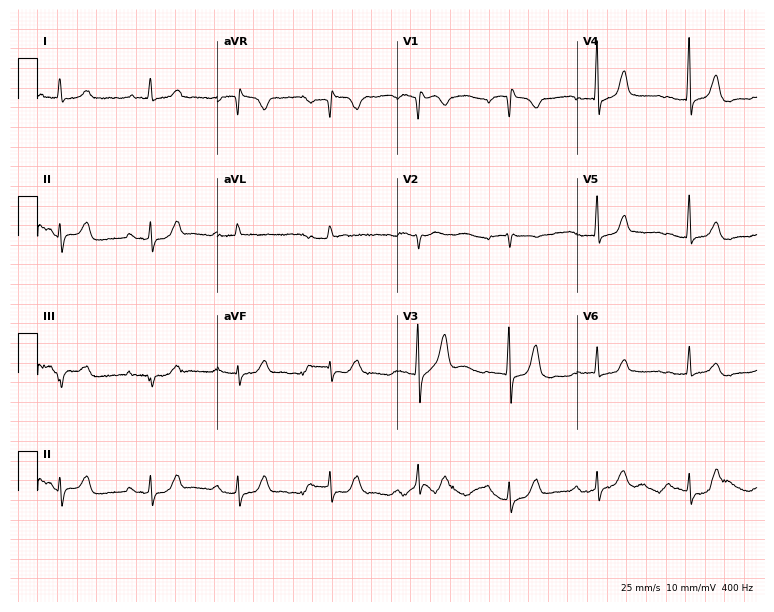
ECG — an 86-year-old female patient. Labelled as a normal ECG.